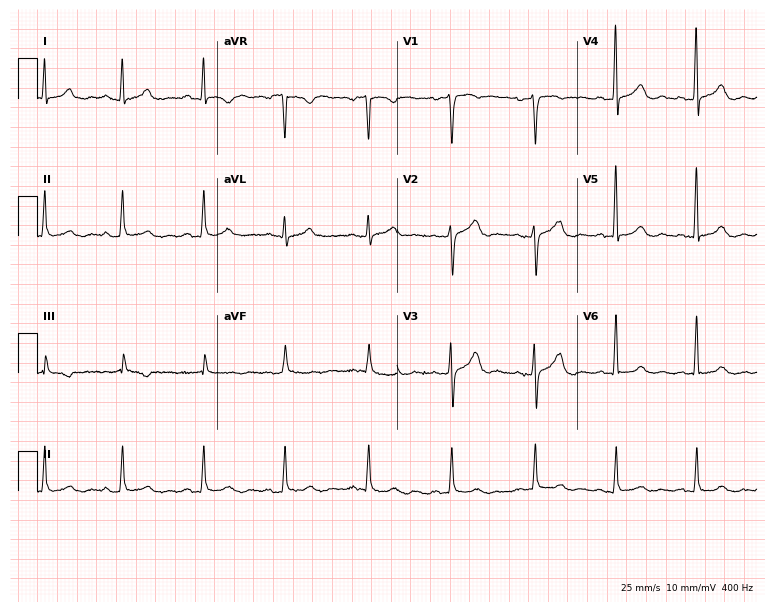
12-lead ECG from a woman, 54 years old (7.3-second recording at 400 Hz). No first-degree AV block, right bundle branch block, left bundle branch block, sinus bradycardia, atrial fibrillation or sinus tachycardia recorded for this tracing. Findings outside these six are not listed.